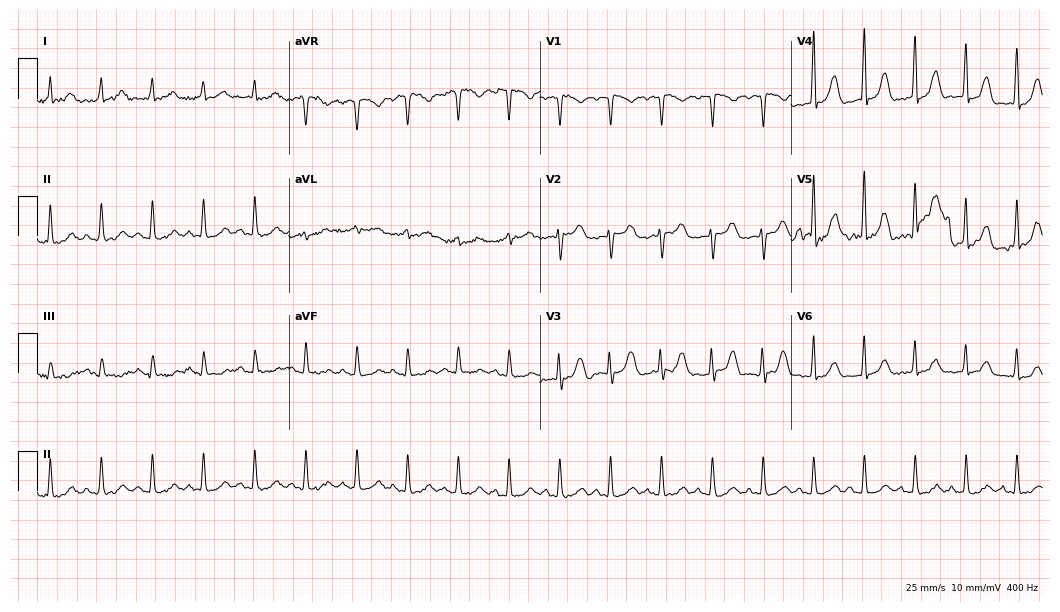
ECG (10.2-second recording at 400 Hz) — a 48-year-old female. Findings include sinus tachycardia (a sinus rate of 100 beats per minute or more).